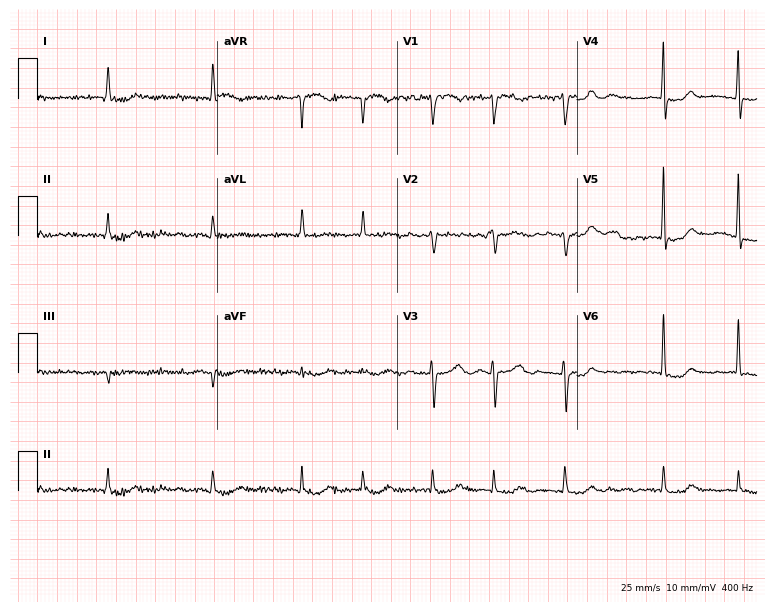
Resting 12-lead electrocardiogram (7.3-second recording at 400 Hz). Patient: a male, 83 years old. The tracing shows atrial fibrillation.